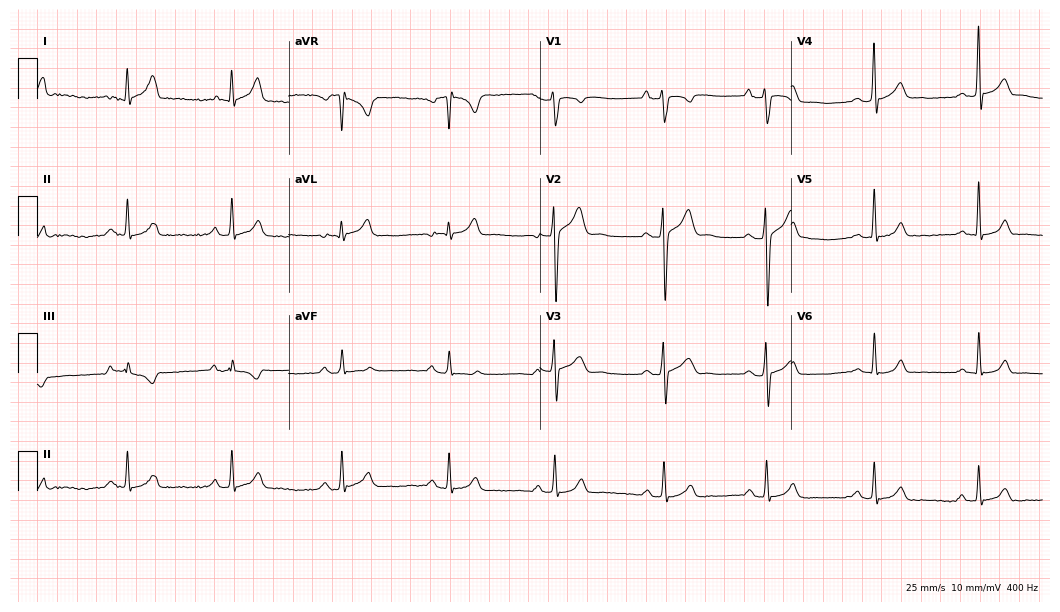
Resting 12-lead electrocardiogram (10.2-second recording at 400 Hz). Patient: a man, 36 years old. Read as a normal ECG.